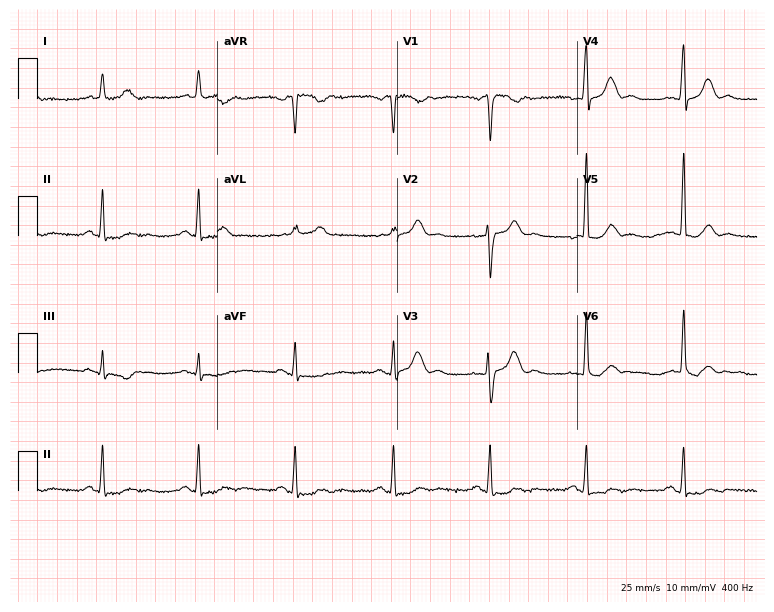
ECG (7.3-second recording at 400 Hz) — a 65-year-old man. Screened for six findings — first-degree AV block, right bundle branch block, left bundle branch block, sinus bradycardia, atrial fibrillation, sinus tachycardia — none is recorded.